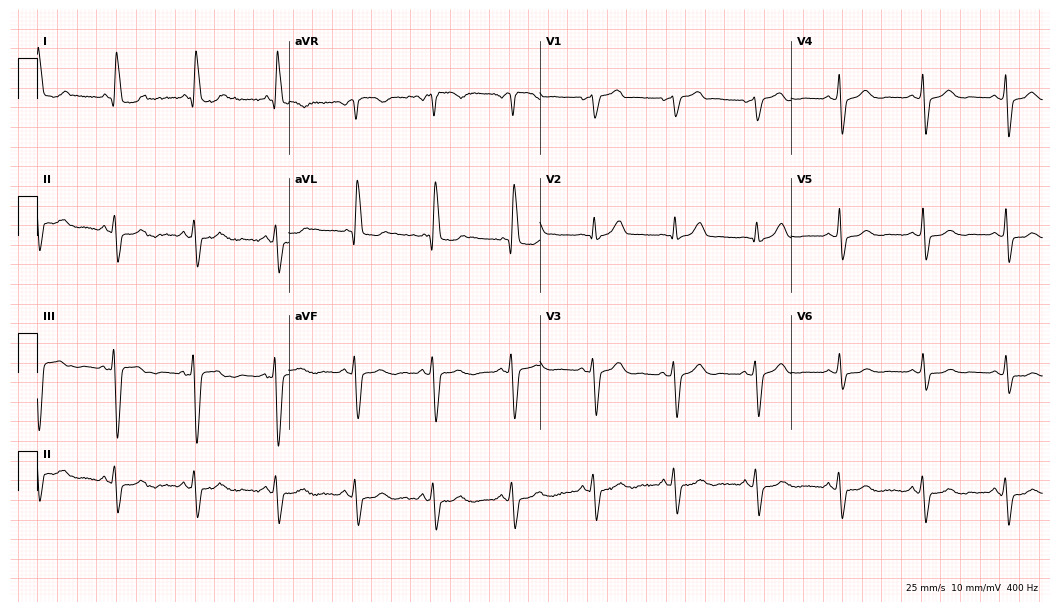
ECG — a 68-year-old female patient. Screened for six findings — first-degree AV block, right bundle branch block, left bundle branch block, sinus bradycardia, atrial fibrillation, sinus tachycardia — none is recorded.